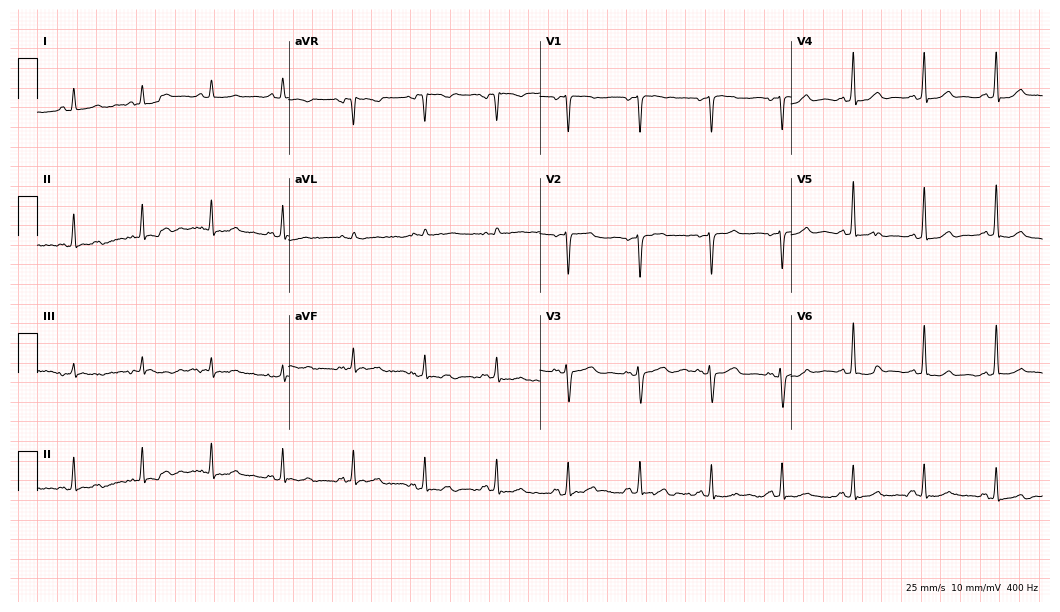
Electrocardiogram (10.2-second recording at 400 Hz), a 57-year-old female. Of the six screened findings (first-degree AV block, right bundle branch block (RBBB), left bundle branch block (LBBB), sinus bradycardia, atrial fibrillation (AF), sinus tachycardia), none is recorded. Findings outside these six are not listed.